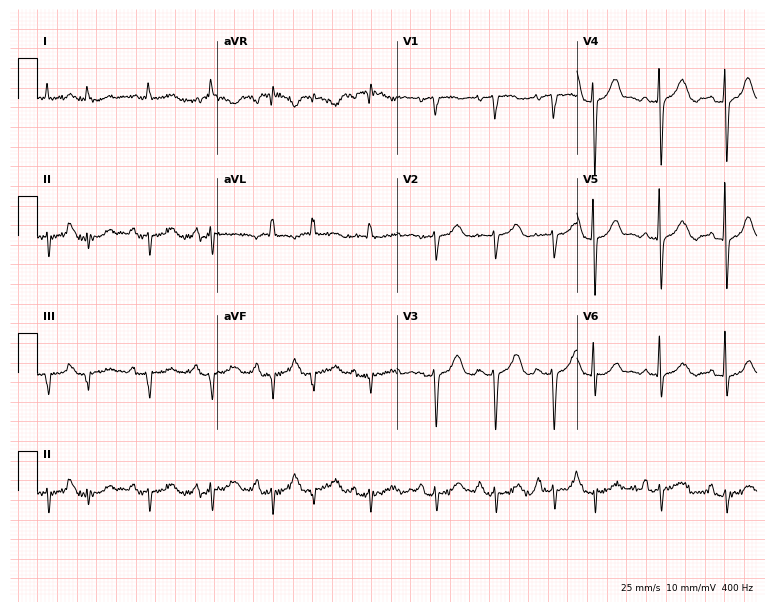
12-lead ECG from a 76-year-old female patient. Screened for six findings — first-degree AV block, right bundle branch block, left bundle branch block, sinus bradycardia, atrial fibrillation, sinus tachycardia — none is recorded.